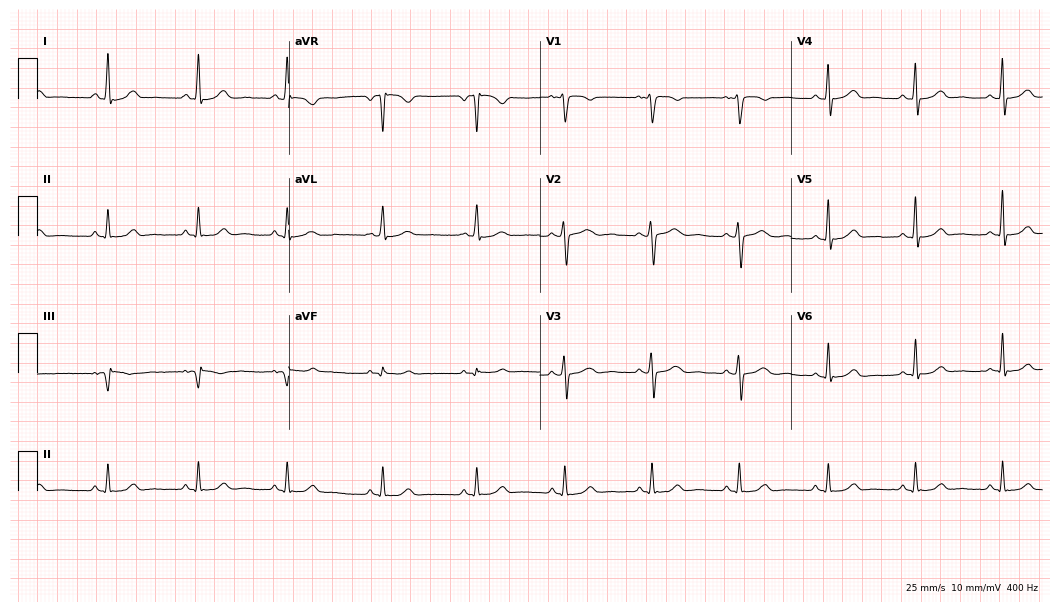
Electrocardiogram (10.2-second recording at 400 Hz), a male, 31 years old. Overall reading on record: normal ECG.